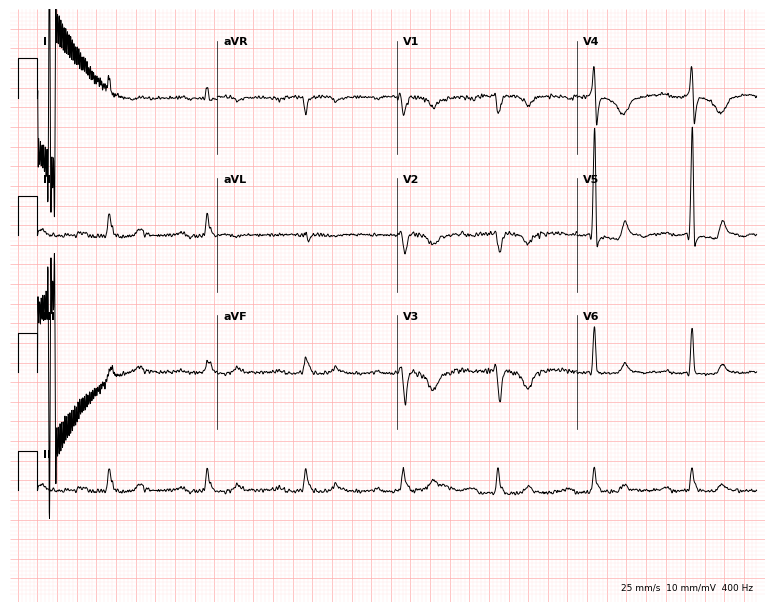
Standard 12-lead ECG recorded from a 77-year-old male patient (7.3-second recording at 400 Hz). None of these six findings is recorded: first-degree AV block, right bundle branch block (RBBB), left bundle branch block (LBBB), sinus bradycardia, atrial fibrillation (AF), sinus tachycardia. Findings outside these six are not listed.